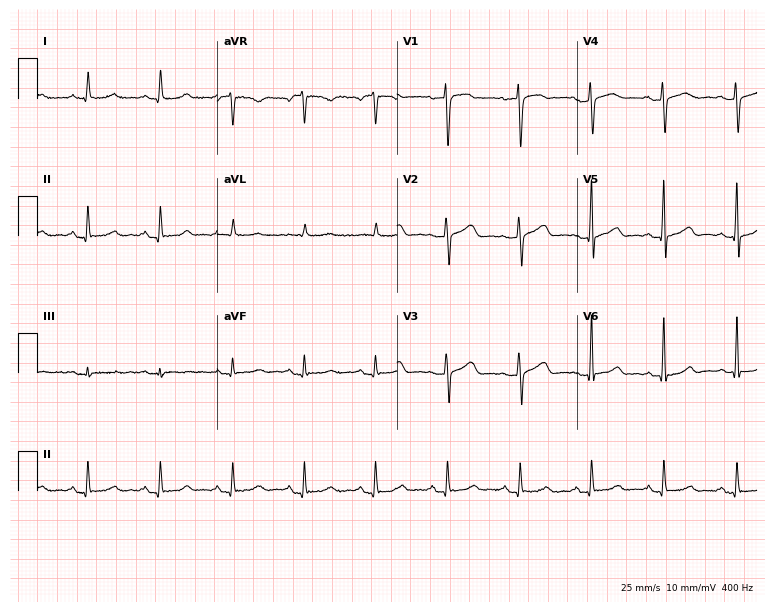
12-lead ECG from a 54-year-old female. Labelled as a normal ECG.